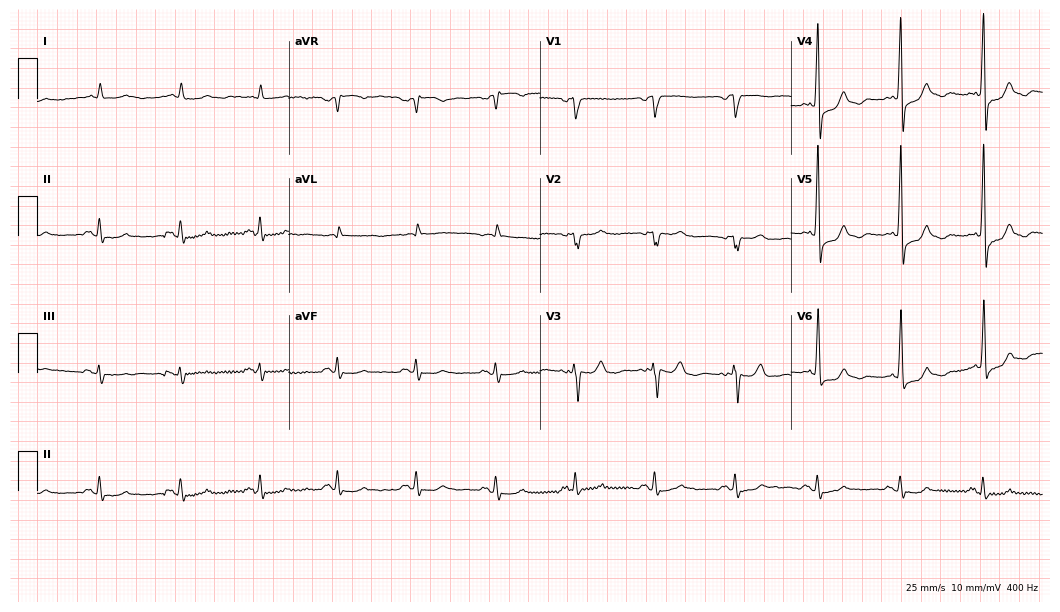
Resting 12-lead electrocardiogram. Patient: a man, 80 years old. None of these six findings is recorded: first-degree AV block, right bundle branch block, left bundle branch block, sinus bradycardia, atrial fibrillation, sinus tachycardia.